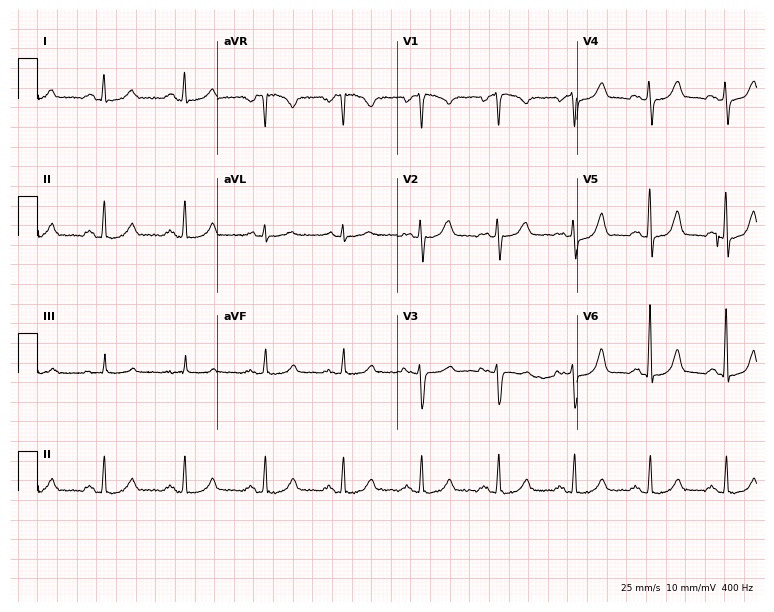
ECG — a 42-year-old female. Labelled as a normal ECG.